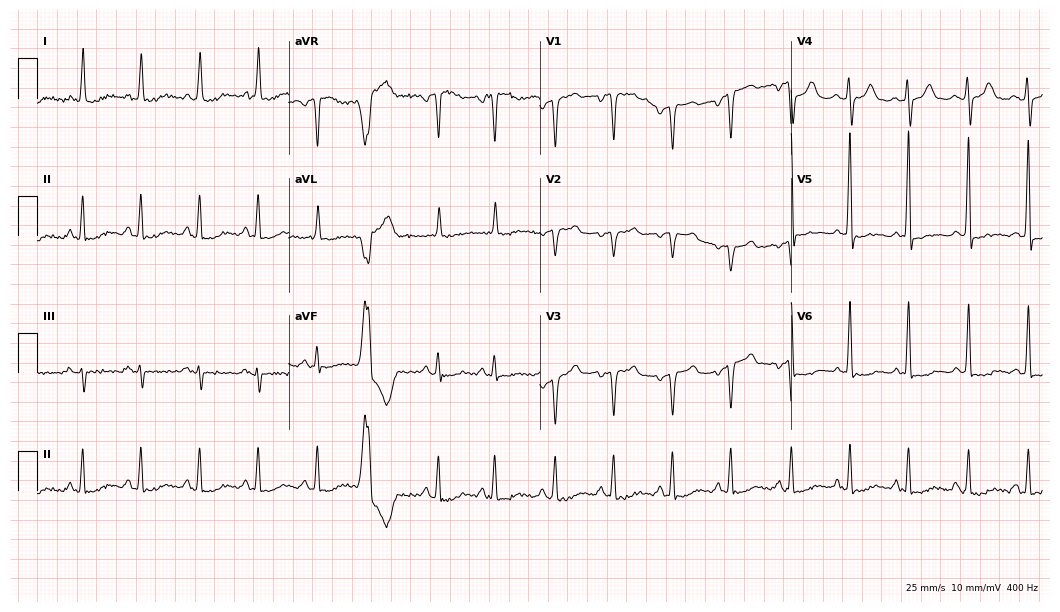
12-lead ECG (10.2-second recording at 400 Hz) from a 77-year-old female. Screened for six findings — first-degree AV block, right bundle branch block, left bundle branch block, sinus bradycardia, atrial fibrillation, sinus tachycardia — none is recorded. Findings outside these six are not listed.